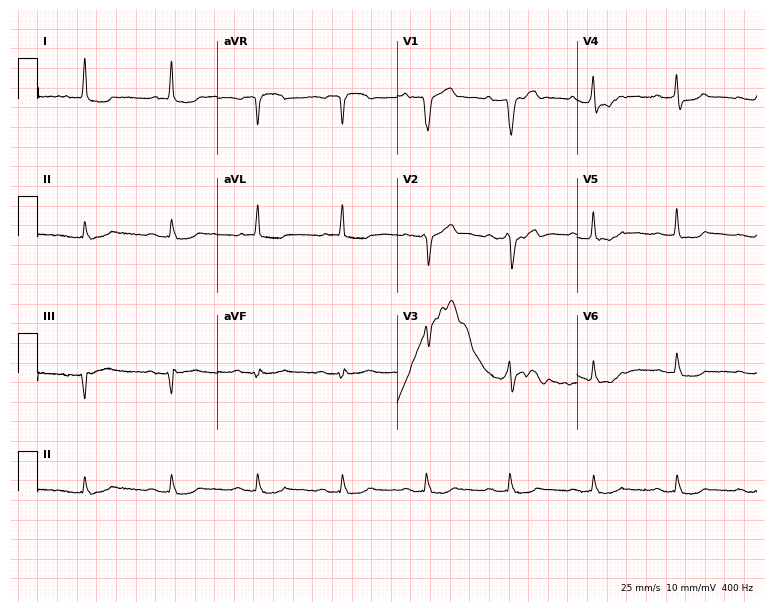
Resting 12-lead electrocardiogram. Patient: a woman, 84 years old. None of these six findings is recorded: first-degree AV block, right bundle branch block (RBBB), left bundle branch block (LBBB), sinus bradycardia, atrial fibrillation (AF), sinus tachycardia.